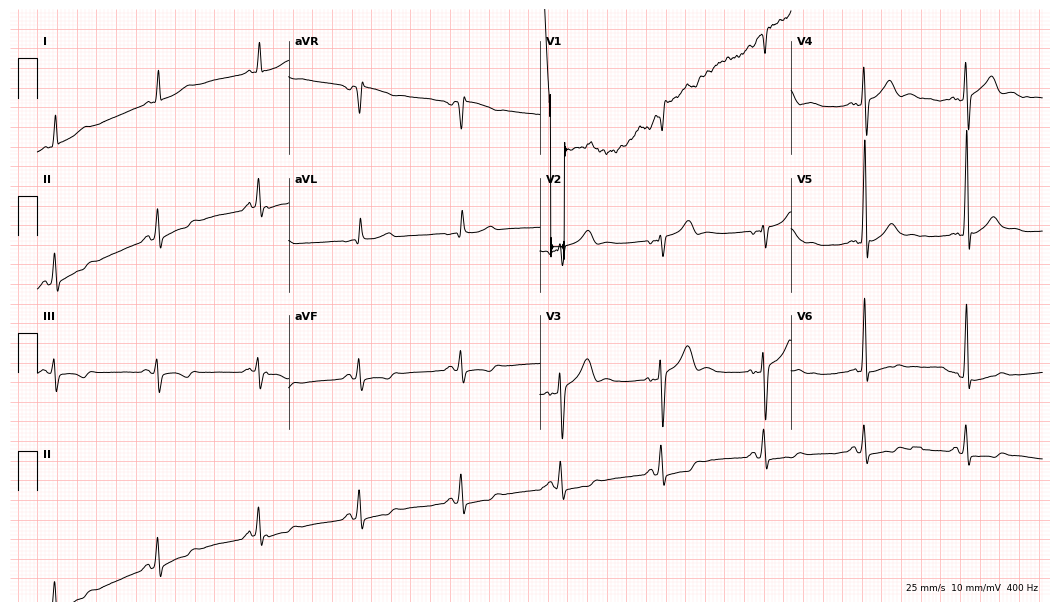
ECG — a 71-year-old male patient. Screened for six findings — first-degree AV block, right bundle branch block, left bundle branch block, sinus bradycardia, atrial fibrillation, sinus tachycardia — none is recorded. Findings outside these six are not listed.